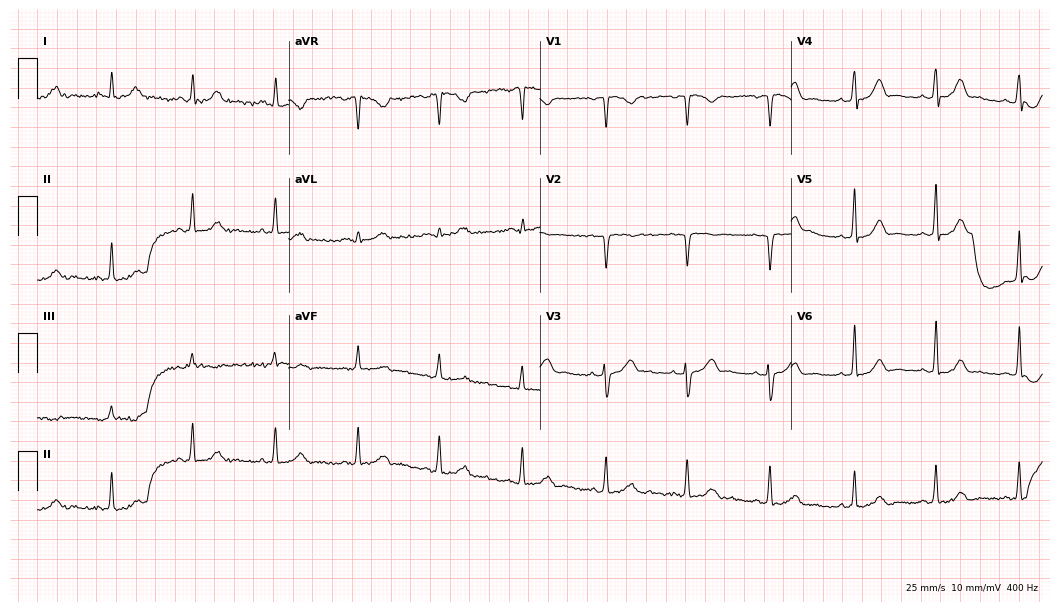
12-lead ECG from a woman, 37 years old. No first-degree AV block, right bundle branch block, left bundle branch block, sinus bradycardia, atrial fibrillation or sinus tachycardia recorded for this tracing. Findings outside these six are not listed.